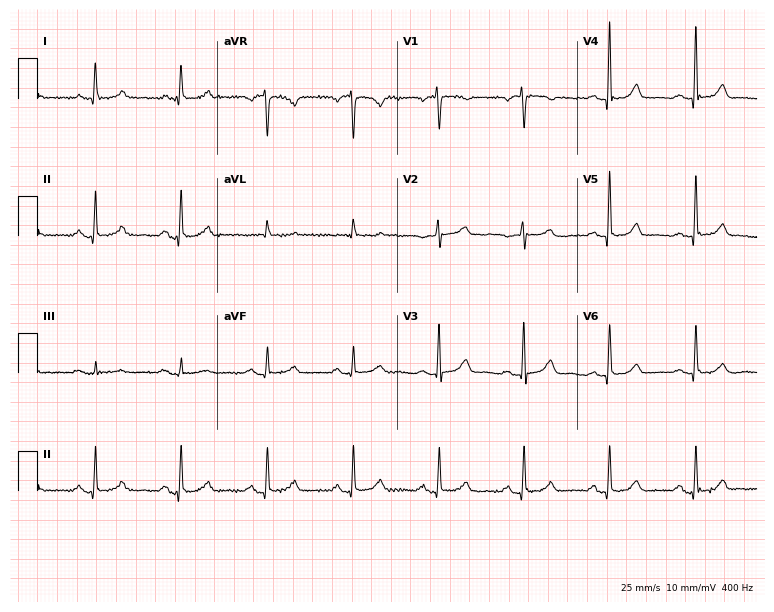
12-lead ECG from a 64-year-old female. Recorded interpretation: within normal limits.